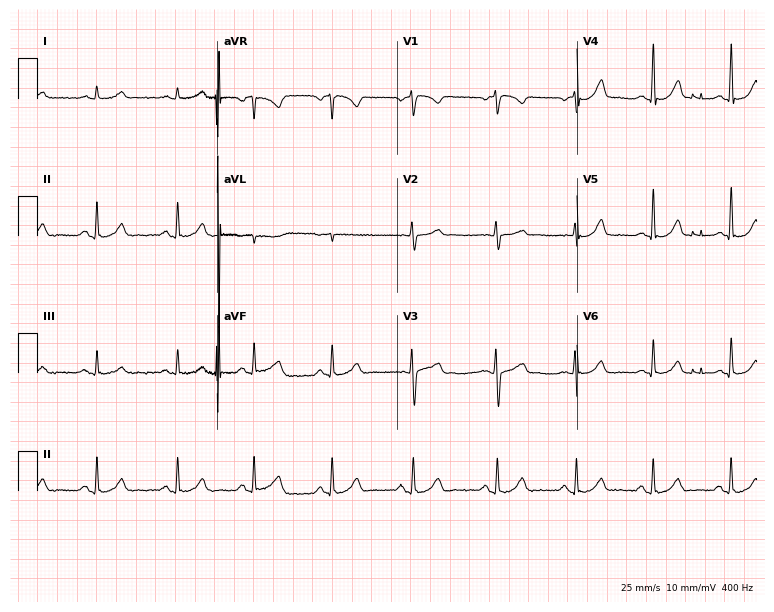
Resting 12-lead electrocardiogram (7.3-second recording at 400 Hz). Patient: a 37-year-old female. Read as a normal ECG.